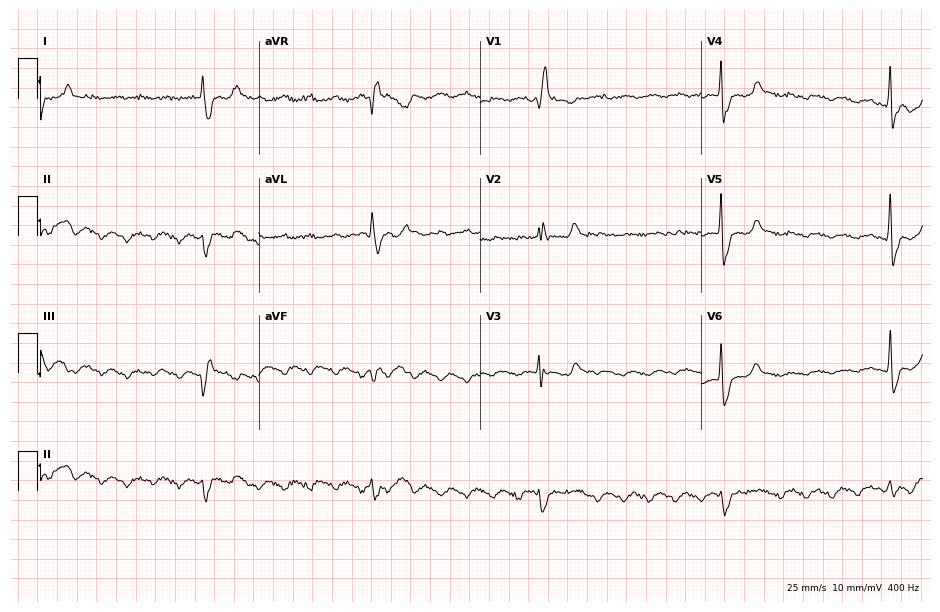
12-lead ECG from a male patient, 64 years old. No first-degree AV block, right bundle branch block (RBBB), left bundle branch block (LBBB), sinus bradycardia, atrial fibrillation (AF) or sinus tachycardia recorded for this tracing. Other findings, if any, are not listed.